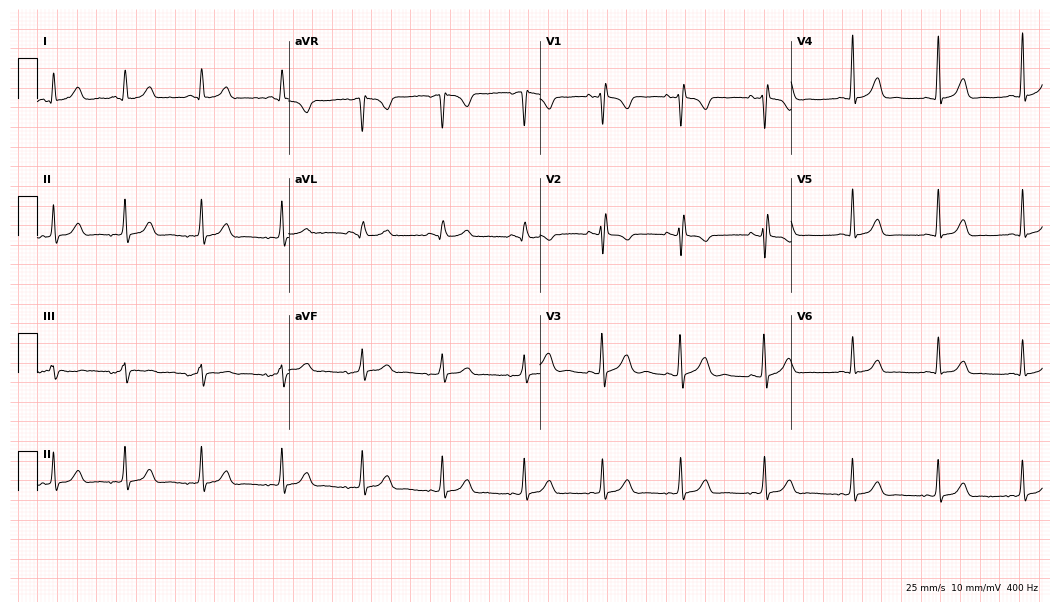
12-lead ECG (10.2-second recording at 400 Hz) from a 24-year-old female. Screened for six findings — first-degree AV block, right bundle branch block (RBBB), left bundle branch block (LBBB), sinus bradycardia, atrial fibrillation (AF), sinus tachycardia — none is recorded.